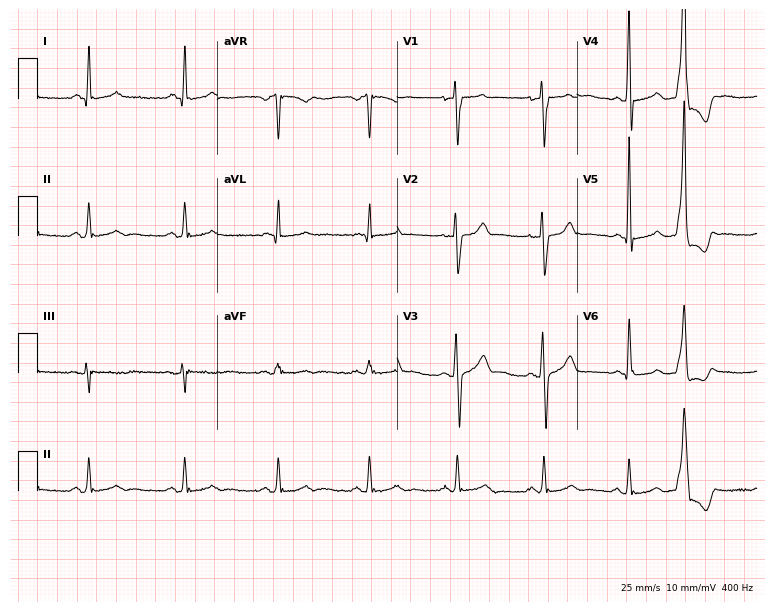
ECG (7.3-second recording at 400 Hz) — a 43-year-old female patient. Screened for six findings — first-degree AV block, right bundle branch block, left bundle branch block, sinus bradycardia, atrial fibrillation, sinus tachycardia — none is recorded.